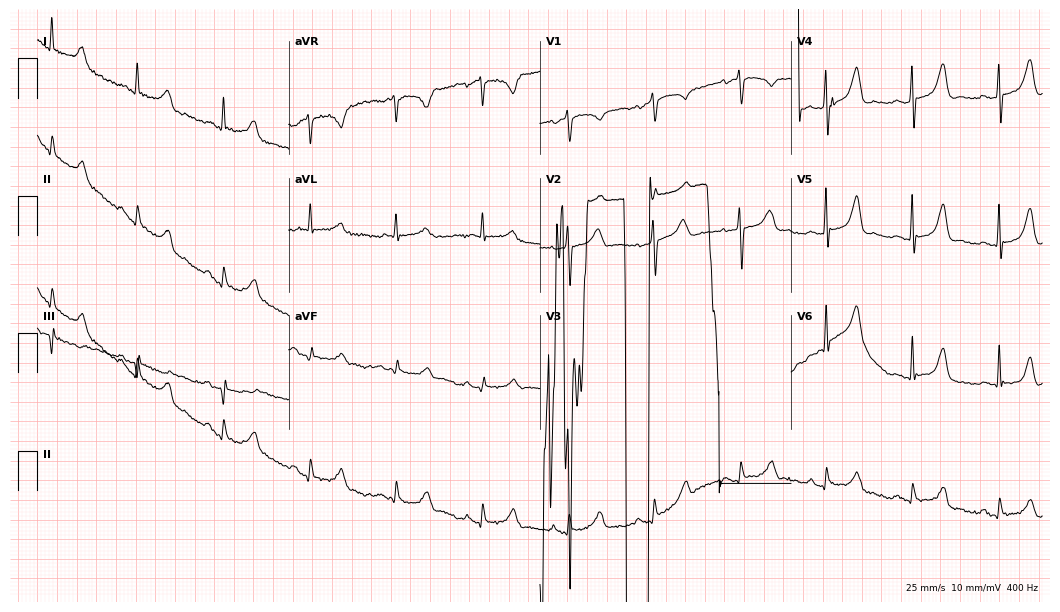
Electrocardiogram (10.2-second recording at 400 Hz), an 82-year-old female. Of the six screened findings (first-degree AV block, right bundle branch block, left bundle branch block, sinus bradycardia, atrial fibrillation, sinus tachycardia), none is recorded. Findings outside these six are not listed.